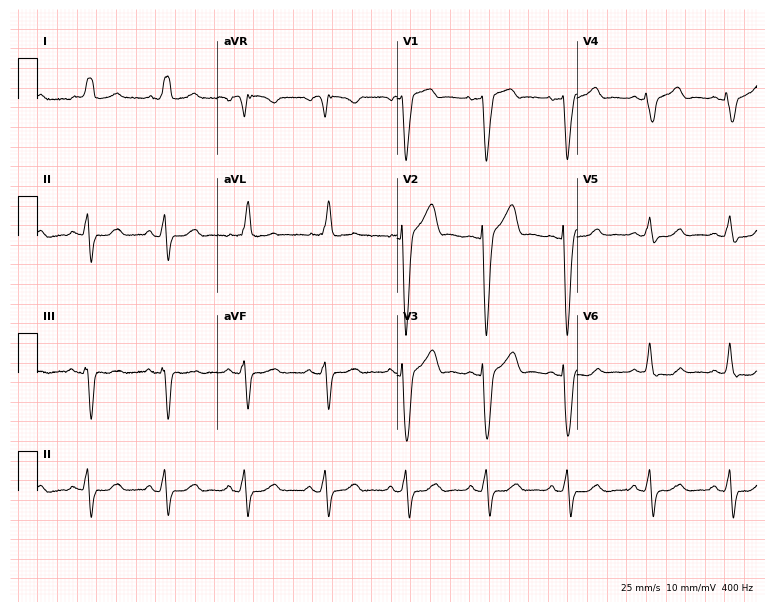
Standard 12-lead ECG recorded from a woman, 55 years old. The tracing shows left bundle branch block.